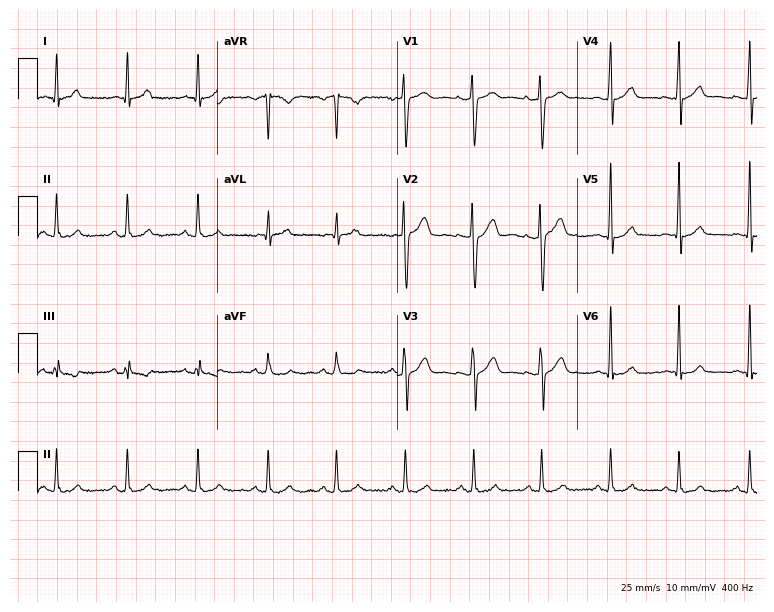
12-lead ECG from a male patient, 27 years old. No first-degree AV block, right bundle branch block, left bundle branch block, sinus bradycardia, atrial fibrillation or sinus tachycardia recorded for this tracing.